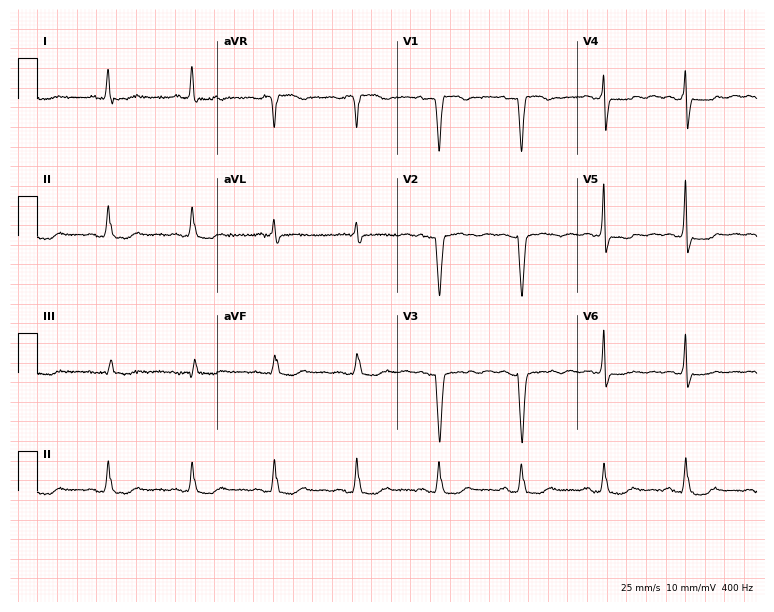
12-lead ECG from a woman, 75 years old. No first-degree AV block, right bundle branch block, left bundle branch block, sinus bradycardia, atrial fibrillation or sinus tachycardia recorded for this tracing. Only these six findings were labelled.